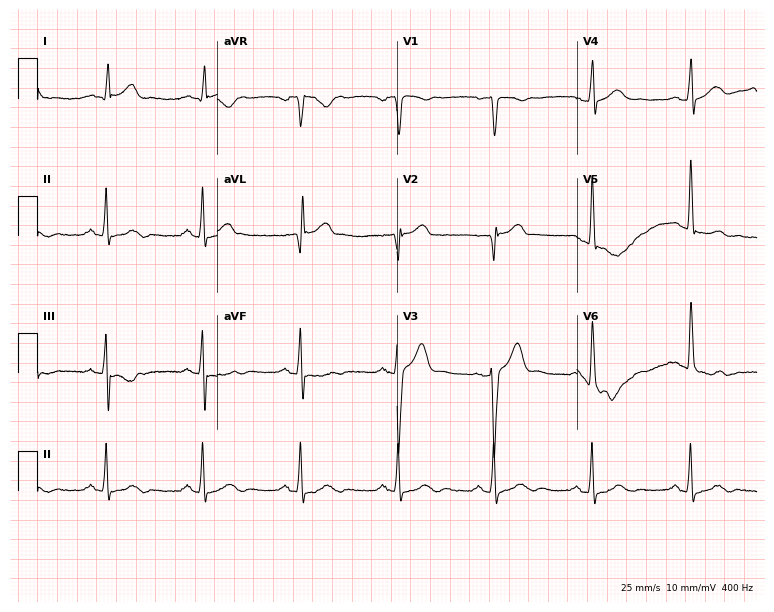
Resting 12-lead electrocardiogram. Patient: a 65-year-old man. None of these six findings is recorded: first-degree AV block, right bundle branch block, left bundle branch block, sinus bradycardia, atrial fibrillation, sinus tachycardia.